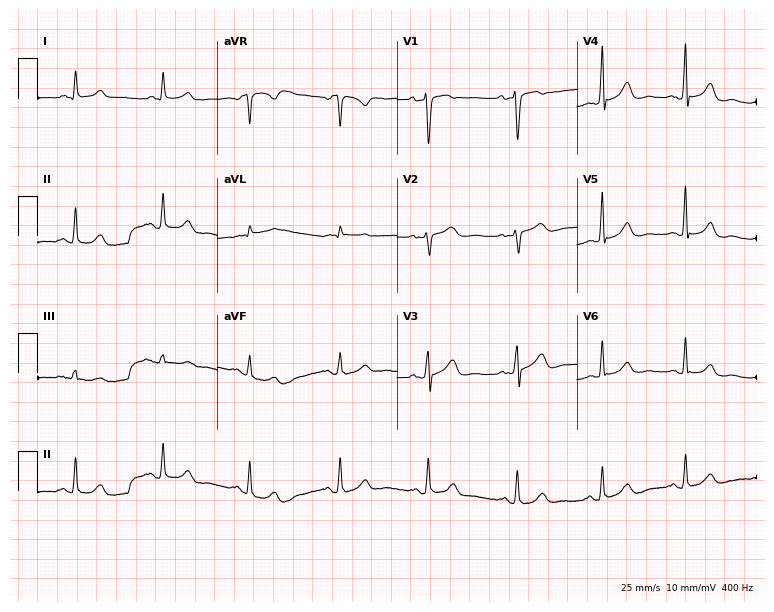
Electrocardiogram, a 32-year-old female. Of the six screened findings (first-degree AV block, right bundle branch block, left bundle branch block, sinus bradycardia, atrial fibrillation, sinus tachycardia), none is recorded. Other findings, if any, are not listed.